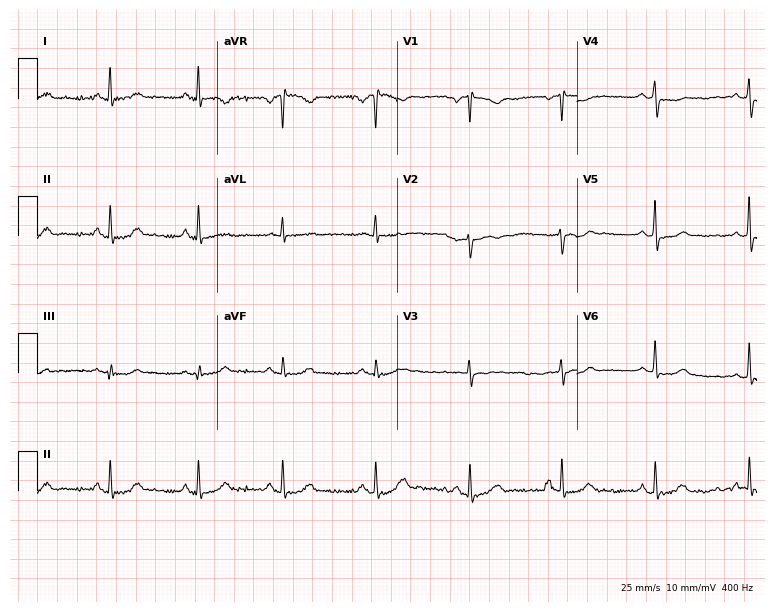
Resting 12-lead electrocardiogram (7.3-second recording at 400 Hz). Patient: a 66-year-old female. None of these six findings is recorded: first-degree AV block, right bundle branch block, left bundle branch block, sinus bradycardia, atrial fibrillation, sinus tachycardia.